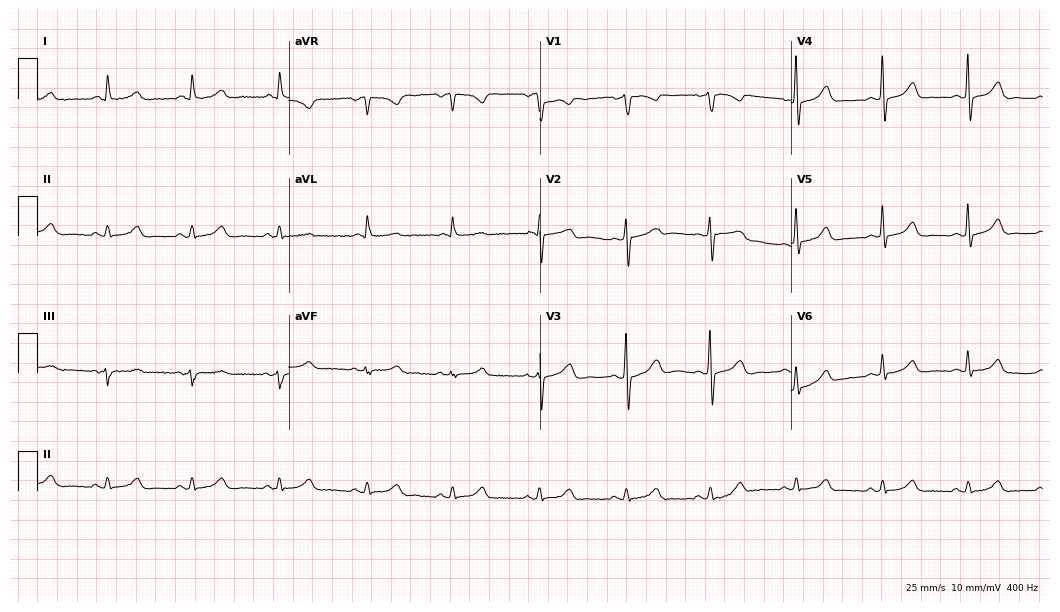
Resting 12-lead electrocardiogram. Patient: a 62-year-old male. Read as a normal ECG.